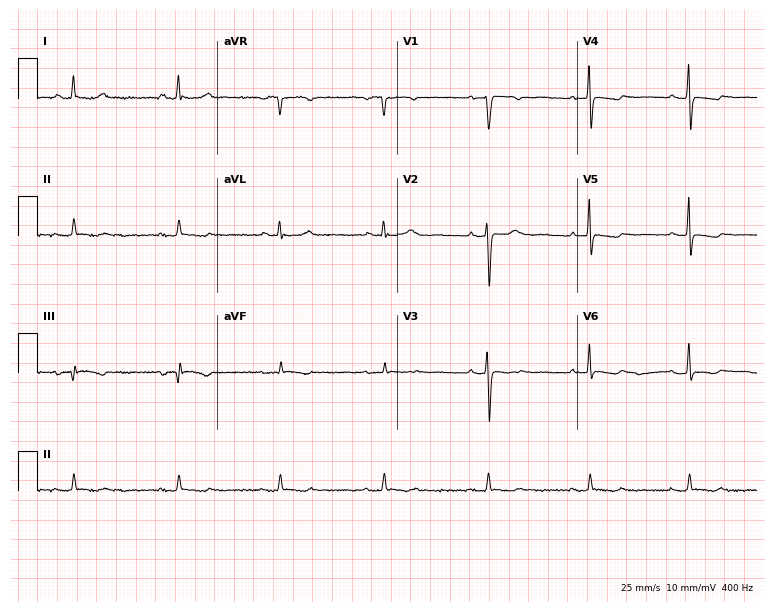
Electrocardiogram (7.3-second recording at 400 Hz), a 64-year-old female. Of the six screened findings (first-degree AV block, right bundle branch block, left bundle branch block, sinus bradycardia, atrial fibrillation, sinus tachycardia), none is recorded.